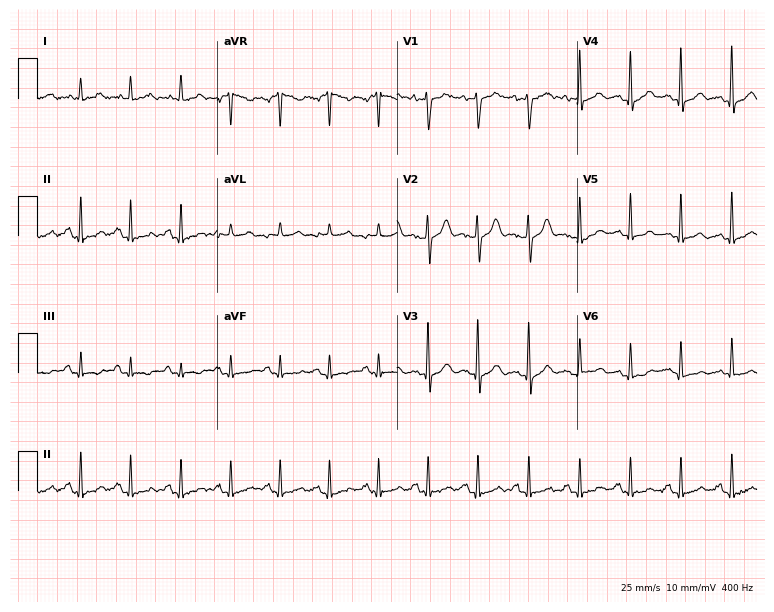
Resting 12-lead electrocardiogram. Patient: a woman, 50 years old. The tracing shows sinus tachycardia (a sinus rate of 100 beats per minute or more).